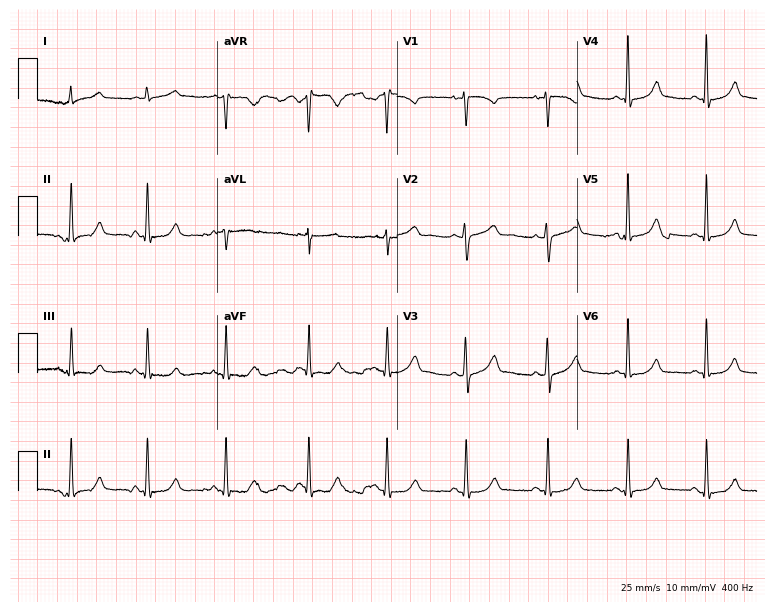
Resting 12-lead electrocardiogram (7.3-second recording at 400 Hz). Patient: a female, 28 years old. Read as a normal ECG.